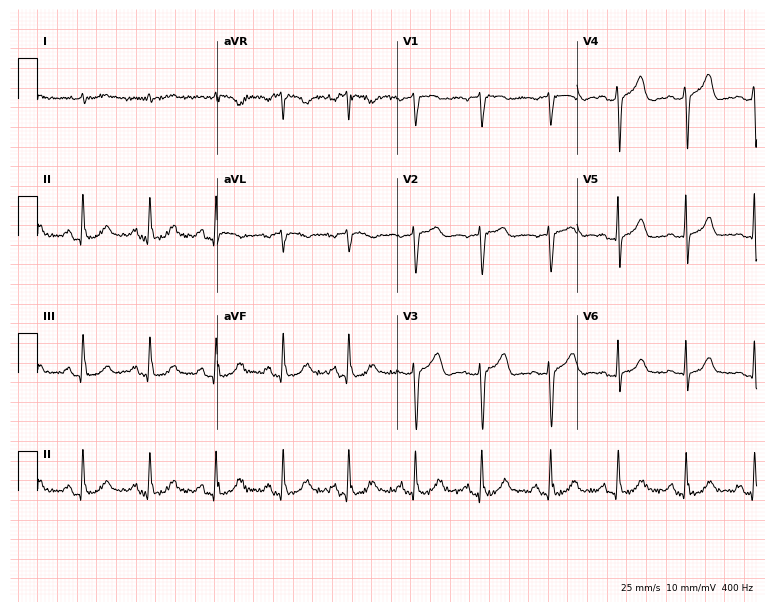
Resting 12-lead electrocardiogram (7.3-second recording at 400 Hz). Patient: a 67-year-old man. None of these six findings is recorded: first-degree AV block, right bundle branch block, left bundle branch block, sinus bradycardia, atrial fibrillation, sinus tachycardia. Other findings, if any, are not listed.